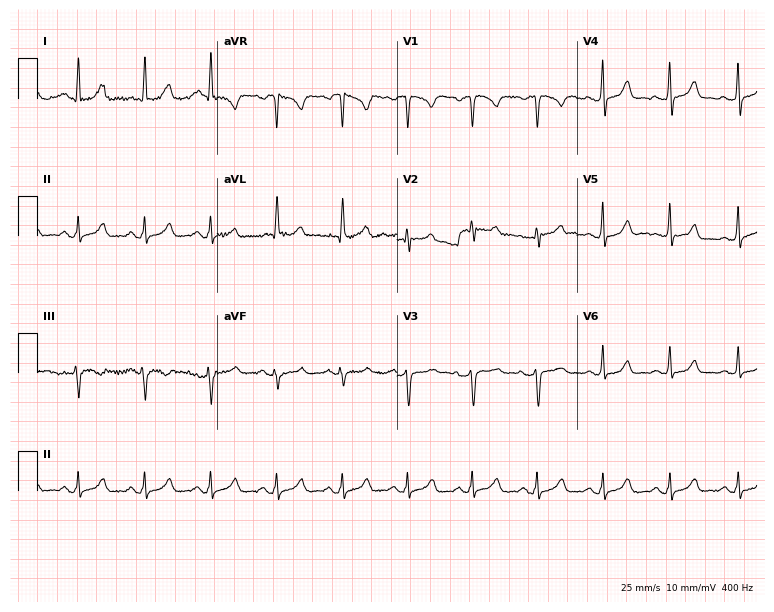
12-lead ECG from a woman, 52 years old. Recorded interpretation: within normal limits.